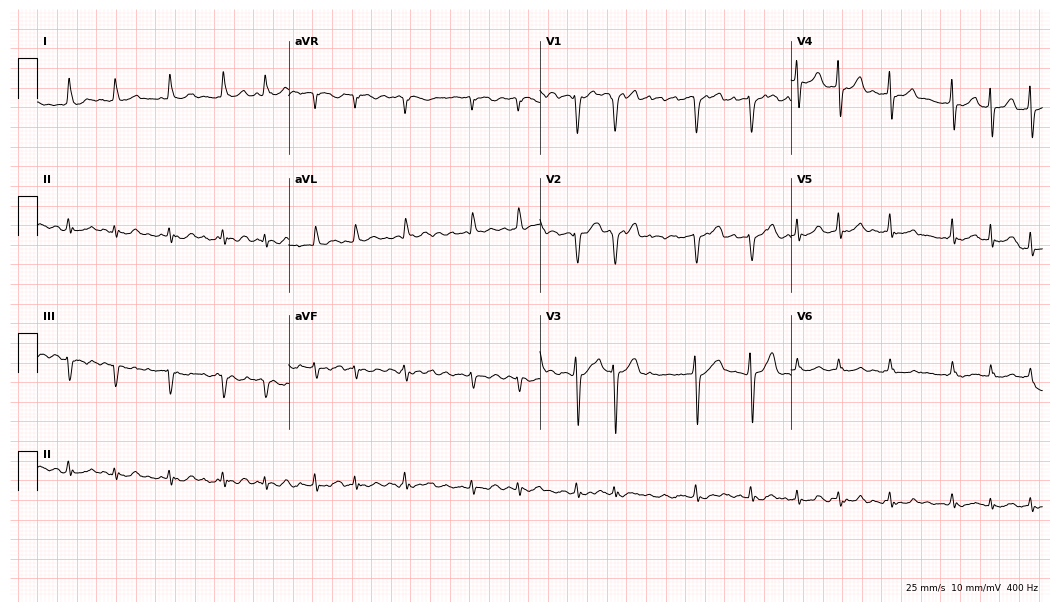
Standard 12-lead ECG recorded from a 67-year-old male patient. The tracing shows atrial fibrillation.